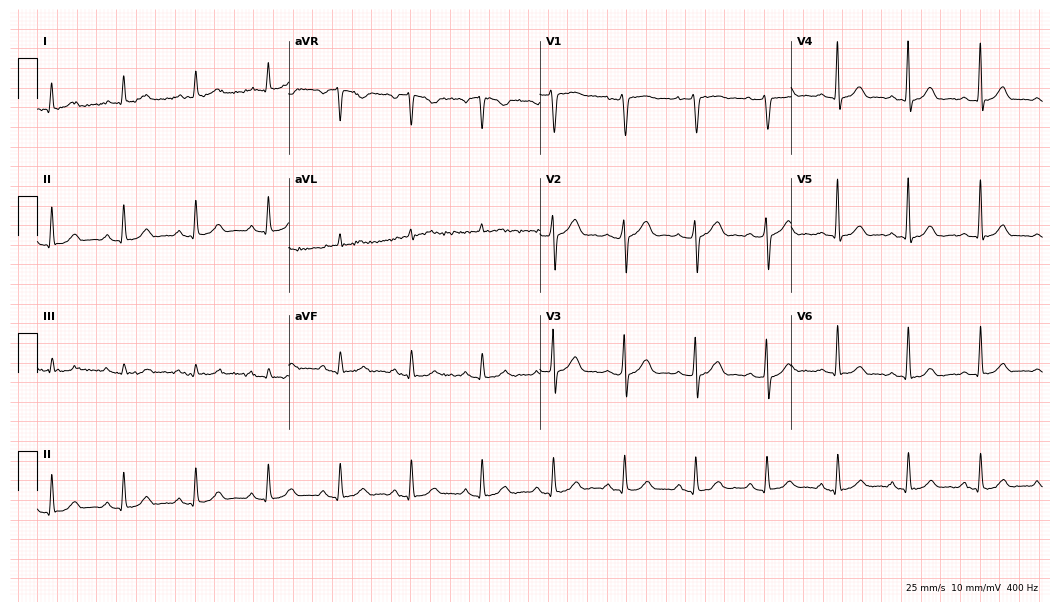
12-lead ECG (10.2-second recording at 400 Hz) from a 70-year-old man. Labelled as a normal ECG.